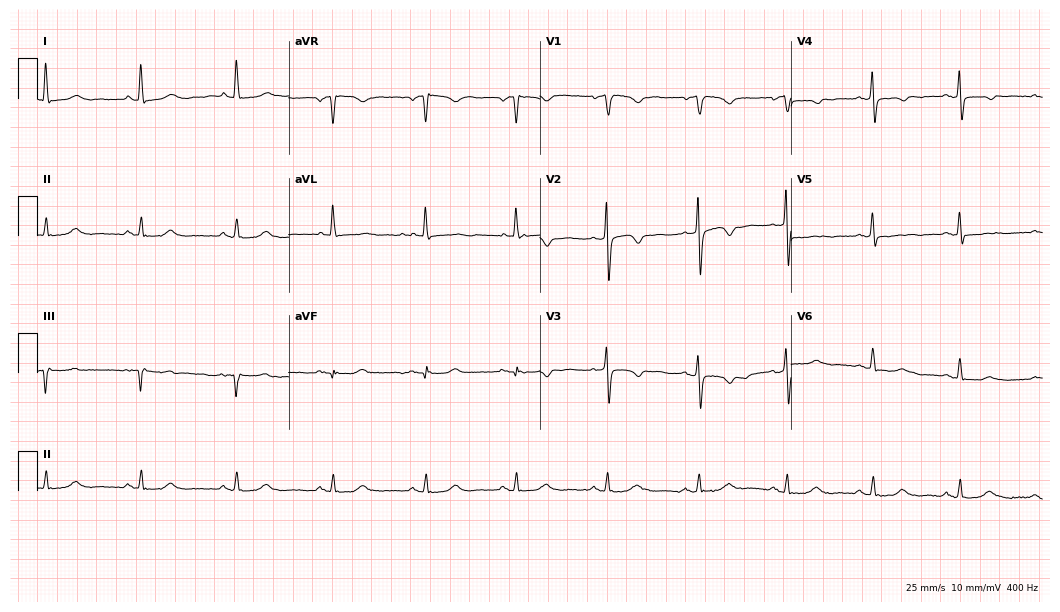
12-lead ECG (10.2-second recording at 400 Hz) from a female patient, 56 years old. Screened for six findings — first-degree AV block, right bundle branch block, left bundle branch block, sinus bradycardia, atrial fibrillation, sinus tachycardia — none is recorded. Only these six findings were labelled.